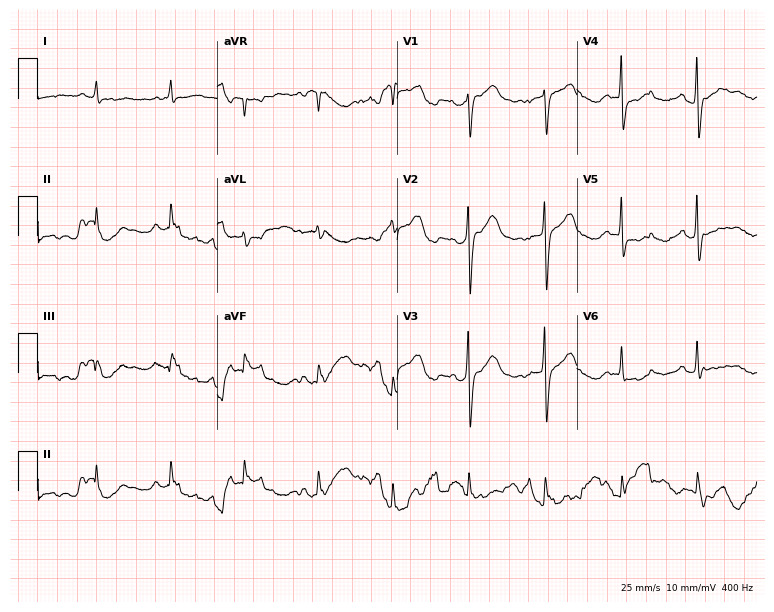
12-lead ECG from a 67-year-old female patient. No first-degree AV block, right bundle branch block (RBBB), left bundle branch block (LBBB), sinus bradycardia, atrial fibrillation (AF) or sinus tachycardia recorded for this tracing.